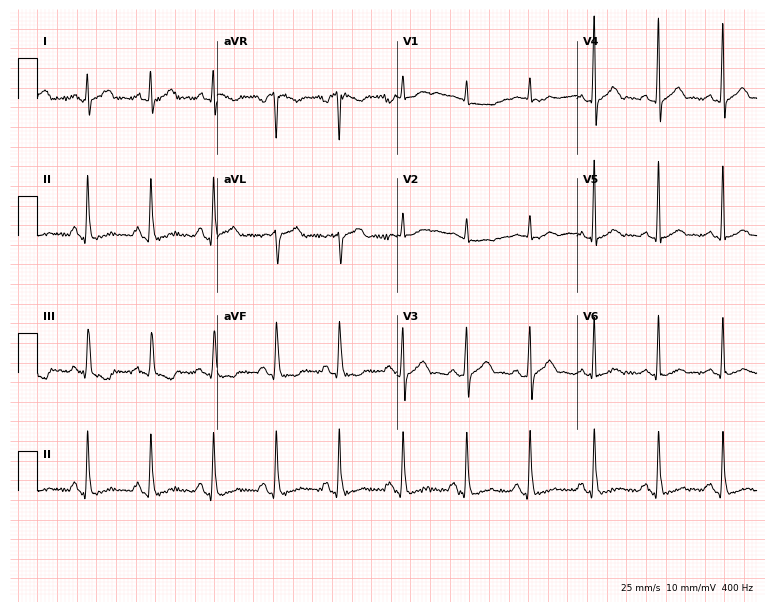
Resting 12-lead electrocardiogram. Patient: a 52-year-old man. Read as a normal ECG.